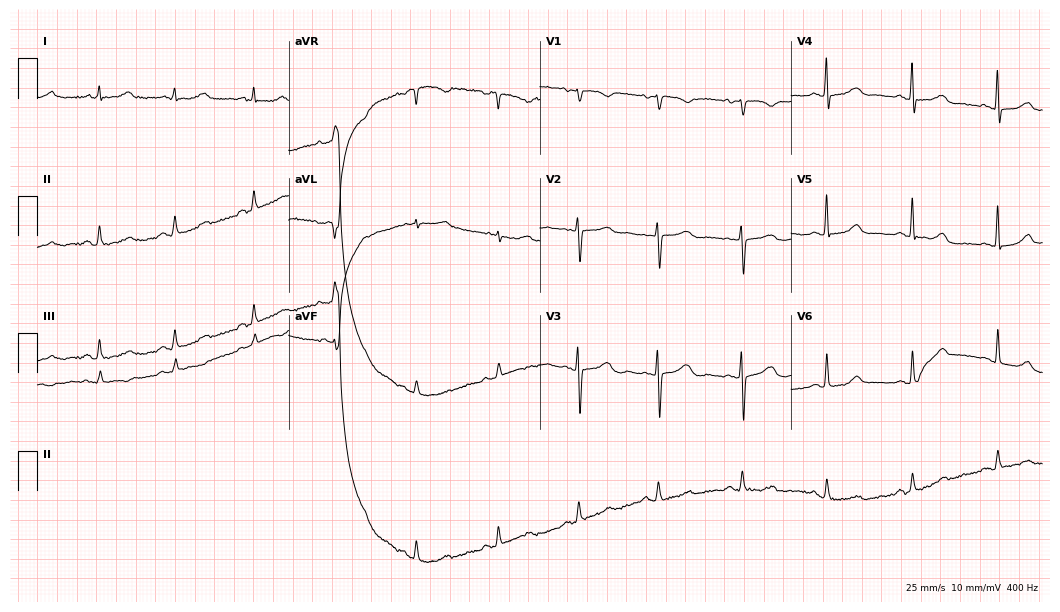
ECG — a woman, 69 years old. Labelled as a normal ECG.